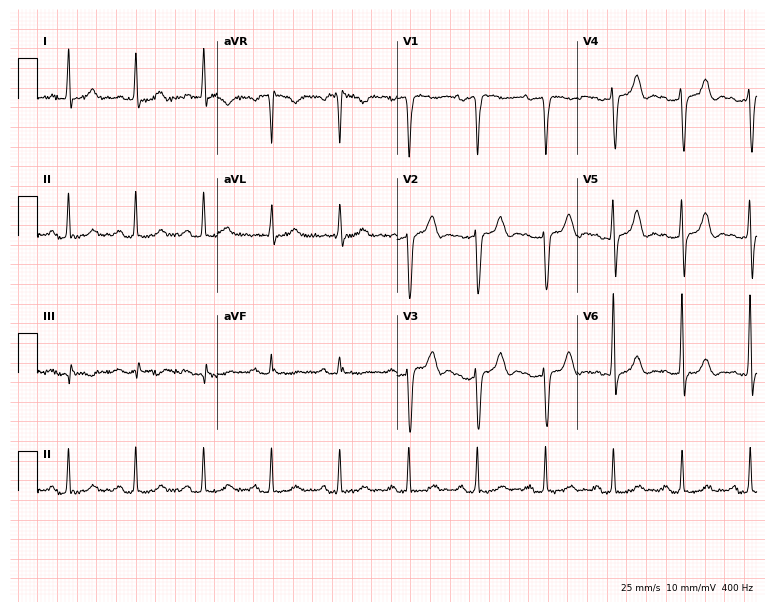
12-lead ECG from a 53-year-old woman (7.3-second recording at 400 Hz). No first-degree AV block, right bundle branch block, left bundle branch block, sinus bradycardia, atrial fibrillation or sinus tachycardia recorded for this tracing.